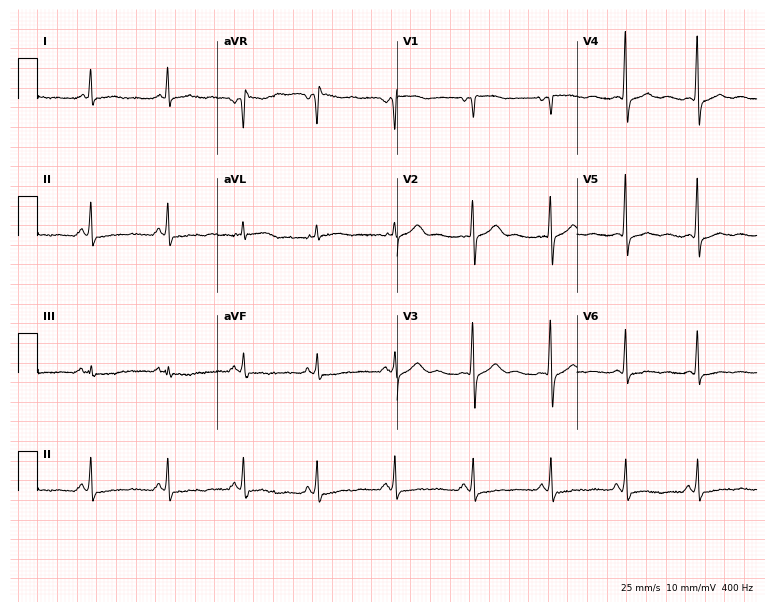
Electrocardiogram, a 63-year-old female patient. Of the six screened findings (first-degree AV block, right bundle branch block, left bundle branch block, sinus bradycardia, atrial fibrillation, sinus tachycardia), none is recorded. Other findings, if any, are not listed.